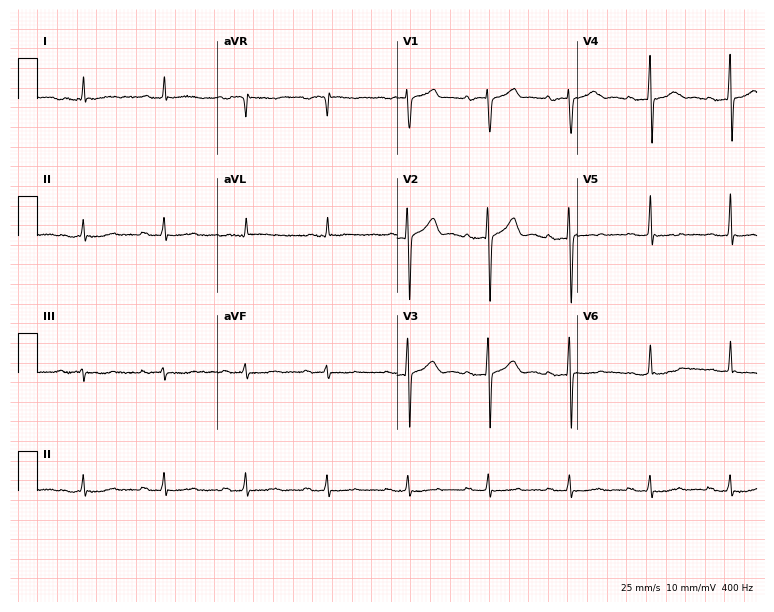
12-lead ECG (7.3-second recording at 400 Hz) from an 80-year-old man. Screened for six findings — first-degree AV block, right bundle branch block (RBBB), left bundle branch block (LBBB), sinus bradycardia, atrial fibrillation (AF), sinus tachycardia — none is recorded.